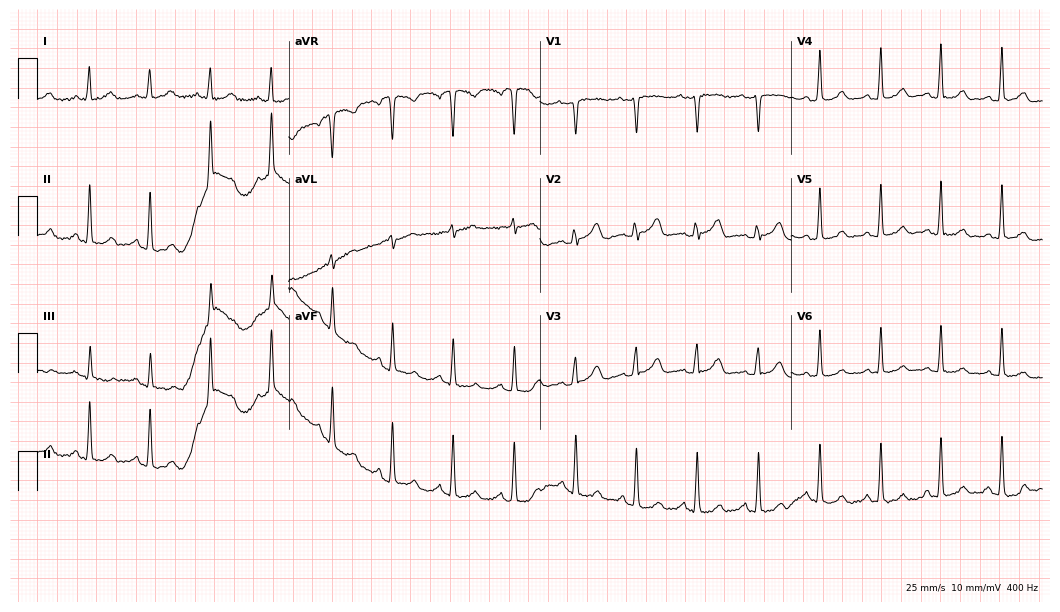
12-lead ECG from a female, 35 years old. Labelled as a normal ECG.